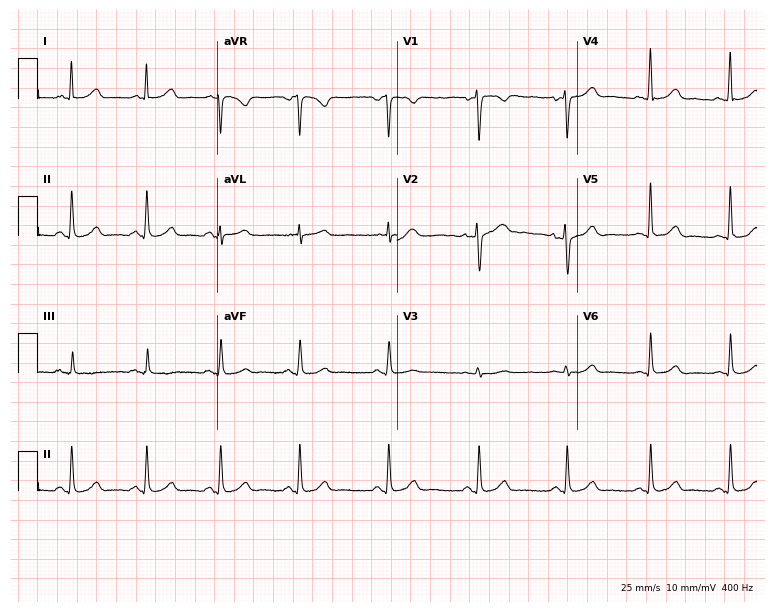
12-lead ECG from a female patient, 49 years old. Labelled as a normal ECG.